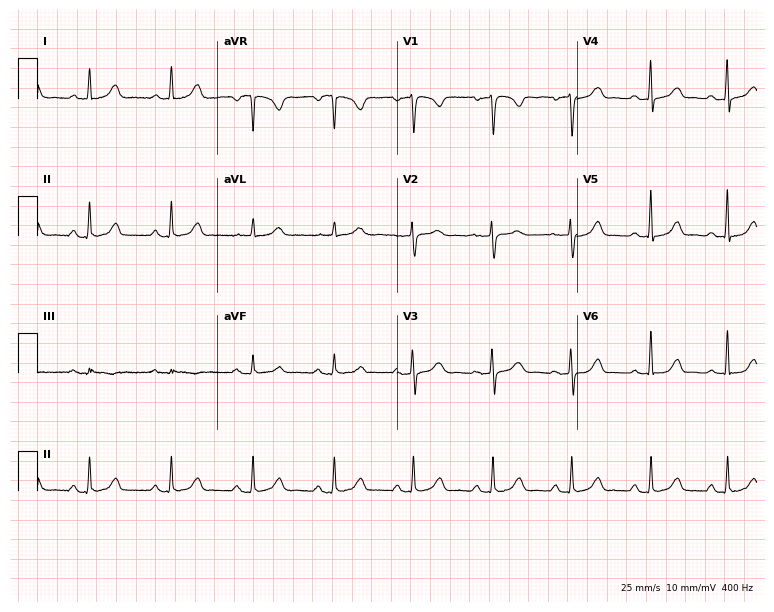
Resting 12-lead electrocardiogram (7.3-second recording at 400 Hz). Patient: a female, 45 years old. Read as a normal ECG.